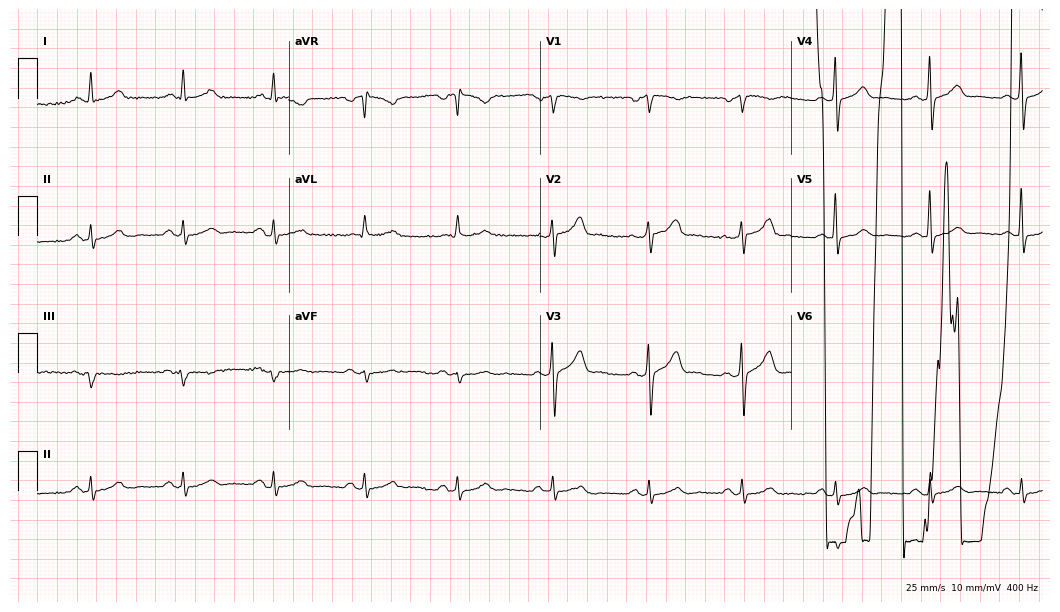
12-lead ECG from a male patient, 42 years old (10.2-second recording at 400 Hz). No first-degree AV block, right bundle branch block, left bundle branch block, sinus bradycardia, atrial fibrillation or sinus tachycardia recorded for this tracing.